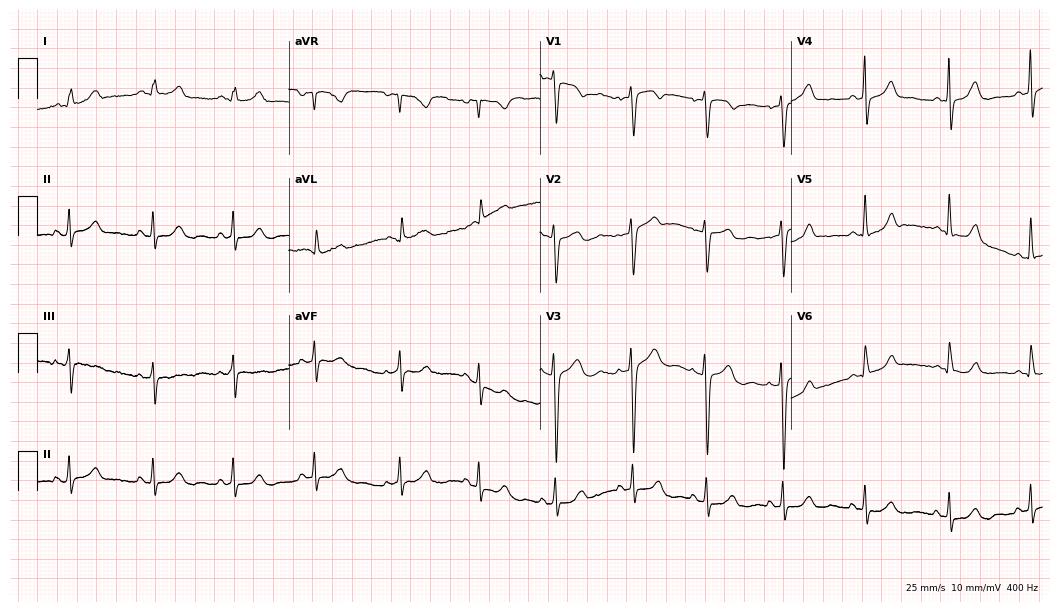
Electrocardiogram, a female patient, 48 years old. Overall reading on record: normal ECG.